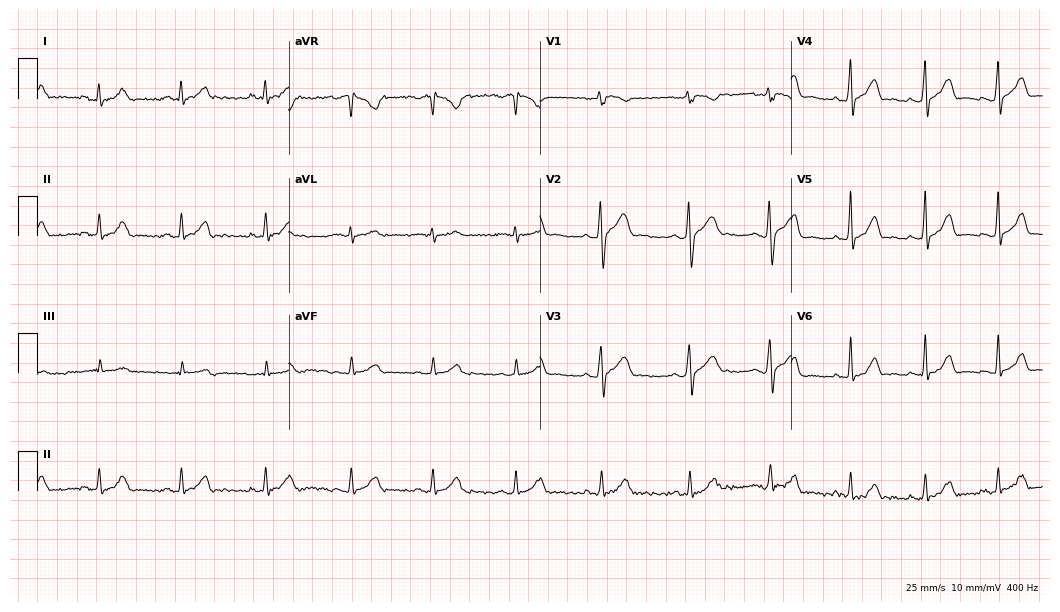
Standard 12-lead ECG recorded from a 33-year-old male patient (10.2-second recording at 400 Hz). None of these six findings is recorded: first-degree AV block, right bundle branch block (RBBB), left bundle branch block (LBBB), sinus bradycardia, atrial fibrillation (AF), sinus tachycardia.